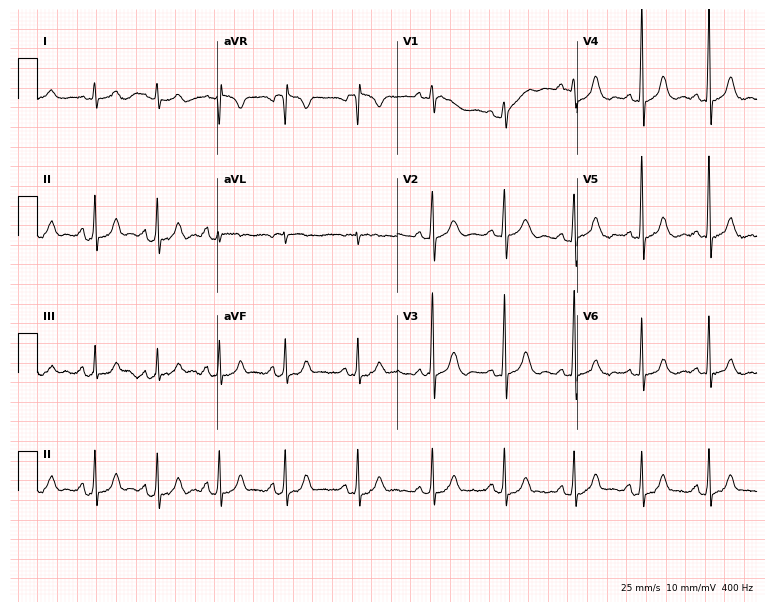
12-lead ECG (7.3-second recording at 400 Hz) from a female patient, 63 years old. Labelled as a normal ECG.